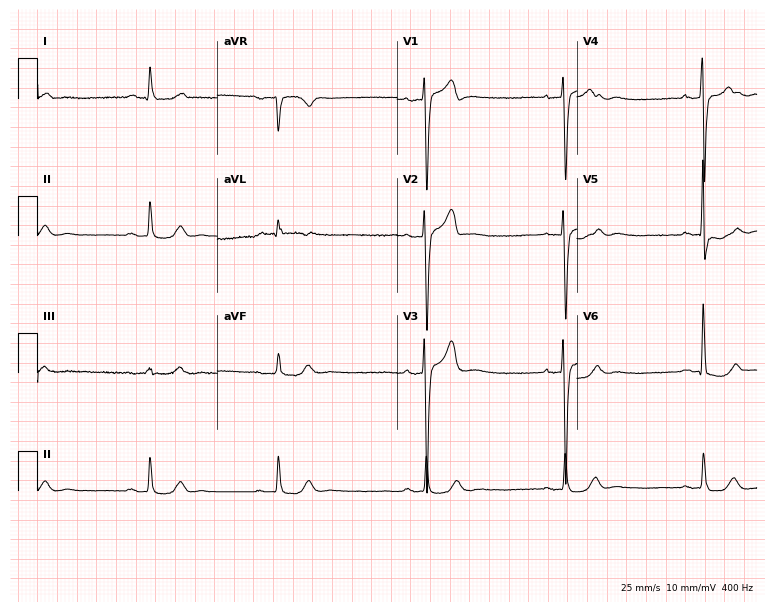
ECG (7.3-second recording at 400 Hz) — a man, 73 years old. Findings include sinus bradycardia (a sinus rate of 50 beats per minute or less).